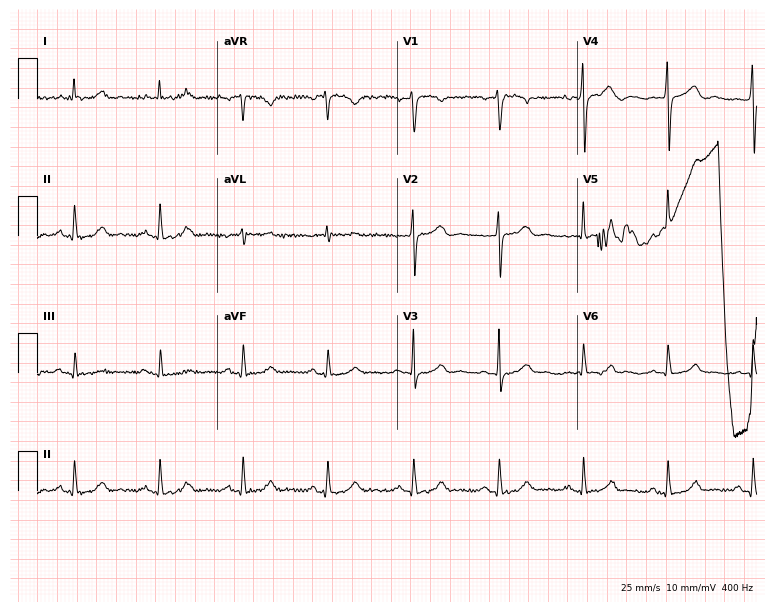
Resting 12-lead electrocardiogram (7.3-second recording at 400 Hz). Patient: a woman, 56 years old. Read as a normal ECG.